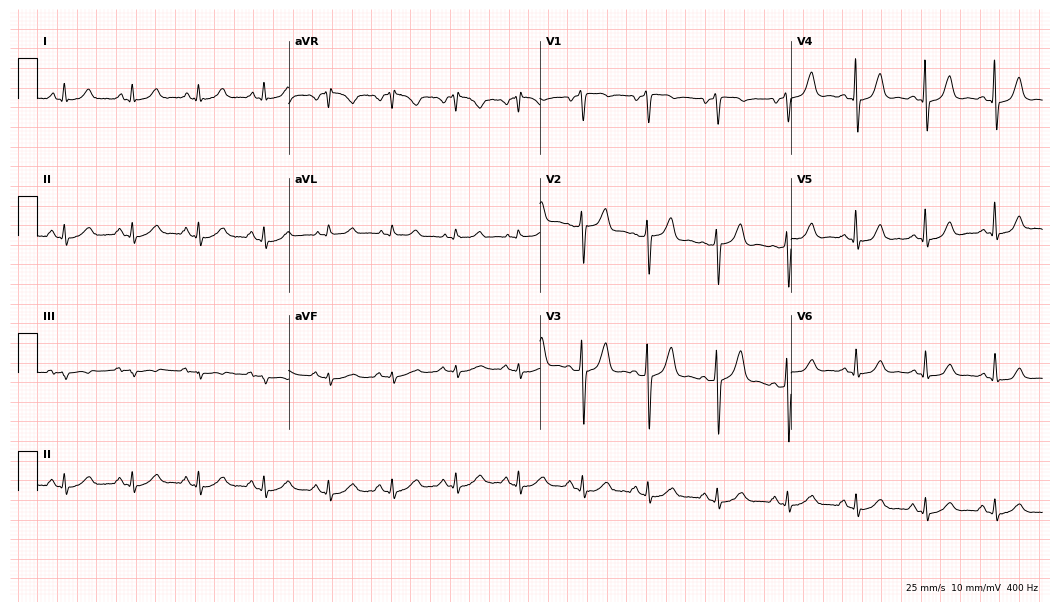
Standard 12-lead ECG recorded from a 68-year-old man (10.2-second recording at 400 Hz). None of these six findings is recorded: first-degree AV block, right bundle branch block, left bundle branch block, sinus bradycardia, atrial fibrillation, sinus tachycardia.